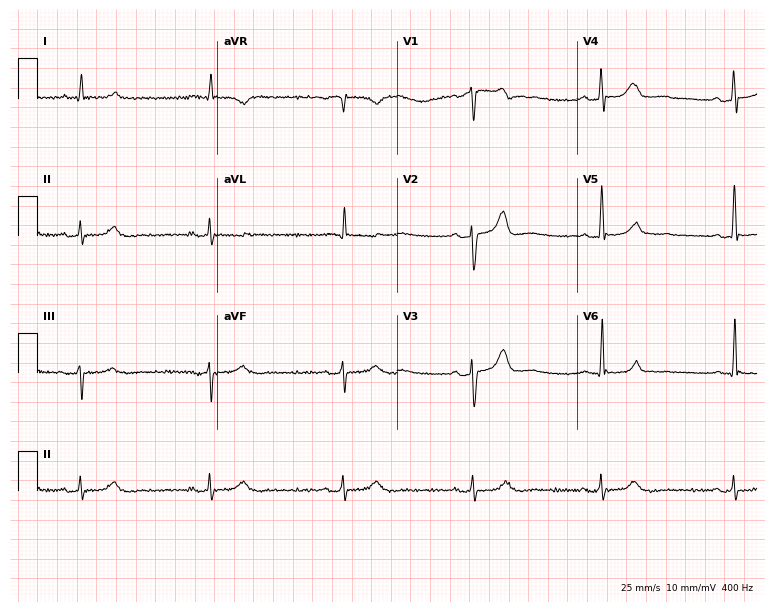
Standard 12-lead ECG recorded from a male, 62 years old (7.3-second recording at 400 Hz). The tracing shows sinus bradycardia (a sinus rate of 50 beats per minute or less).